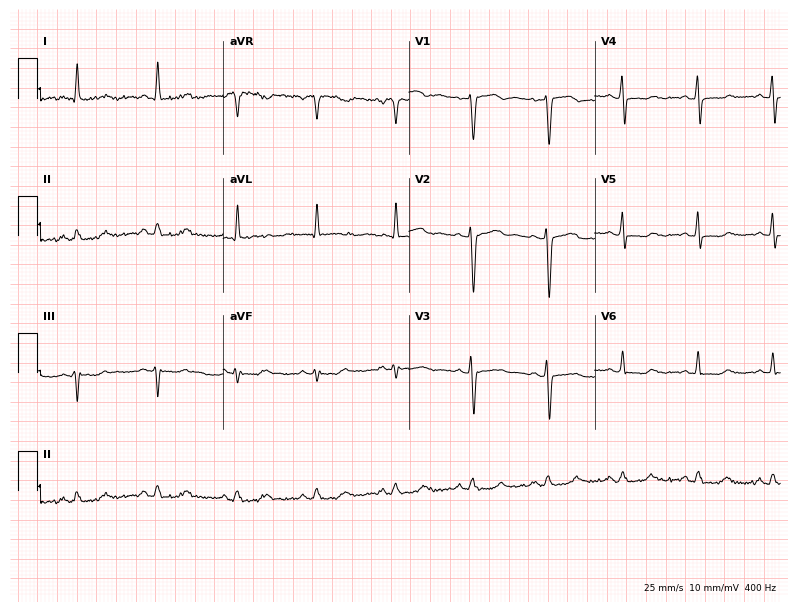
ECG (7.6-second recording at 400 Hz) — a woman, 50 years old. Screened for six findings — first-degree AV block, right bundle branch block (RBBB), left bundle branch block (LBBB), sinus bradycardia, atrial fibrillation (AF), sinus tachycardia — none is recorded.